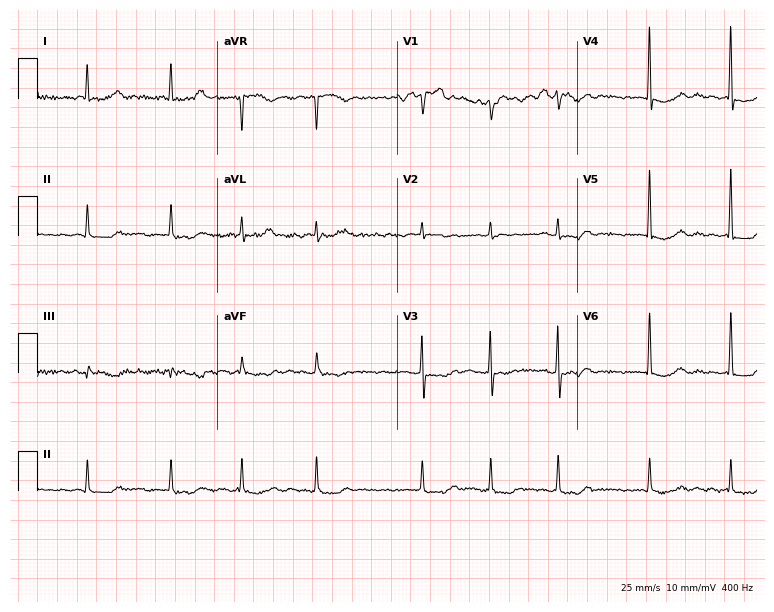
12-lead ECG (7.3-second recording at 400 Hz) from an 85-year-old female patient. Findings include atrial fibrillation.